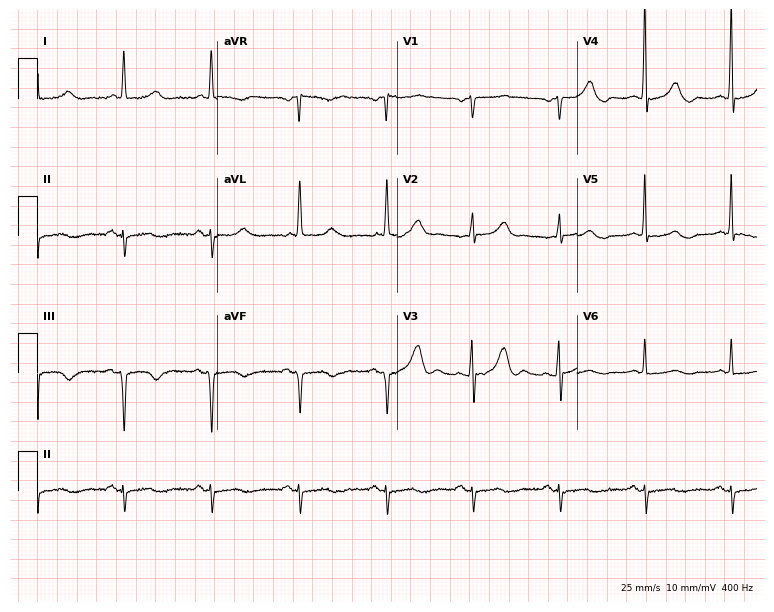
12-lead ECG from a female, 64 years old (7.3-second recording at 400 Hz). No first-degree AV block, right bundle branch block, left bundle branch block, sinus bradycardia, atrial fibrillation or sinus tachycardia recorded for this tracing. Other findings, if any, are not listed.